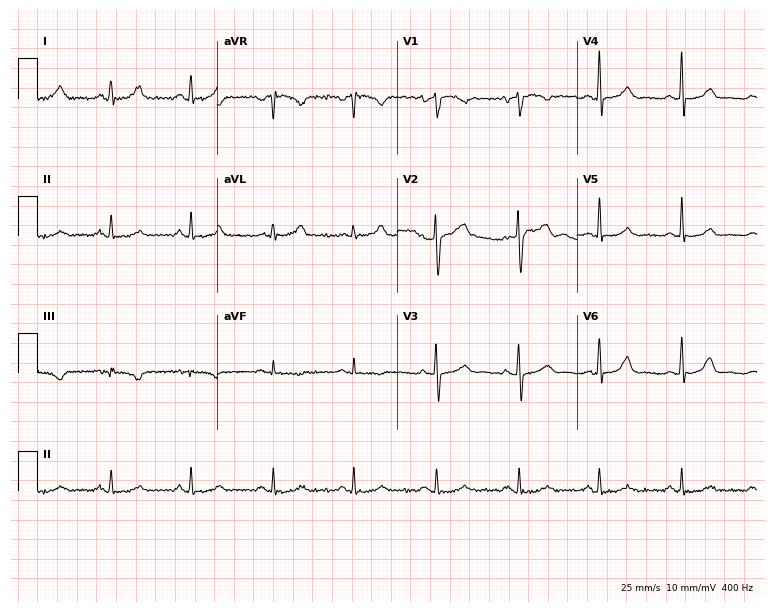
12-lead ECG from a woman, 44 years old (7.3-second recording at 400 Hz). No first-degree AV block, right bundle branch block (RBBB), left bundle branch block (LBBB), sinus bradycardia, atrial fibrillation (AF) or sinus tachycardia recorded for this tracing. Findings outside these six are not listed.